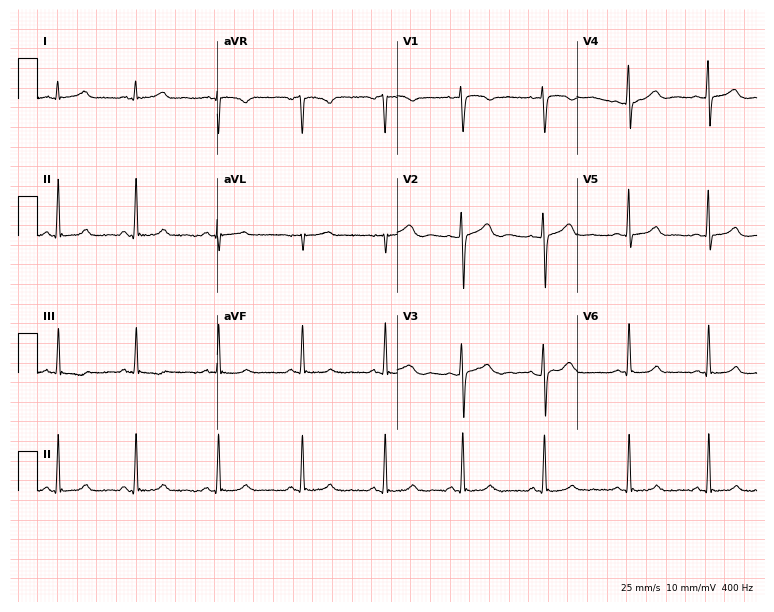
Electrocardiogram, a female patient, 21 years old. Of the six screened findings (first-degree AV block, right bundle branch block, left bundle branch block, sinus bradycardia, atrial fibrillation, sinus tachycardia), none is recorded.